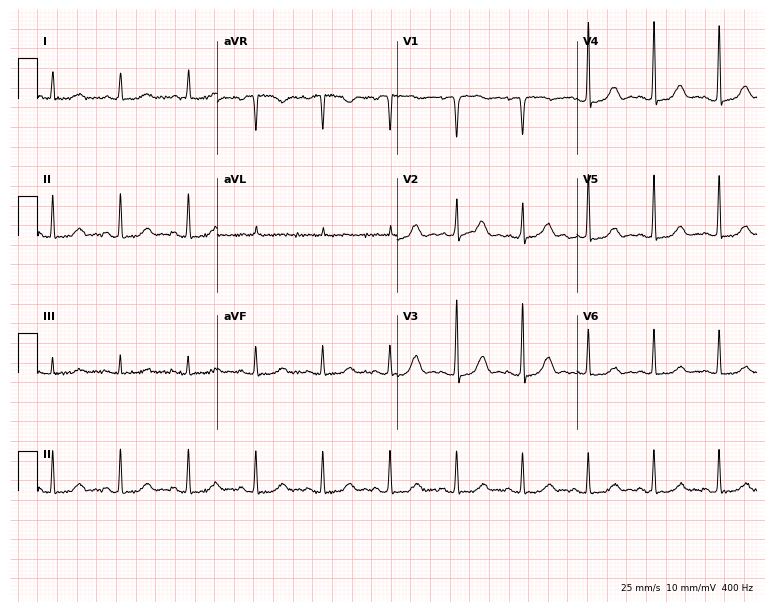
Standard 12-lead ECG recorded from a female, 80 years old. Read as a normal ECG.